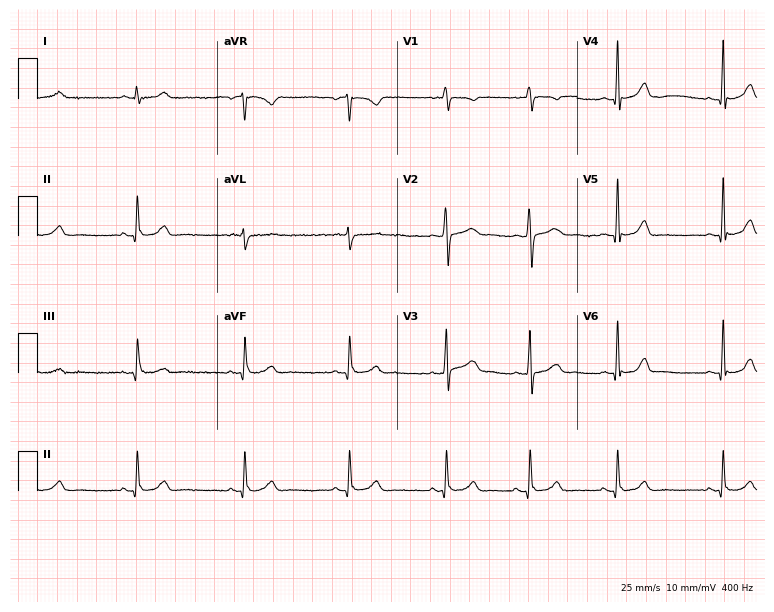
Standard 12-lead ECG recorded from a 25-year-old female (7.3-second recording at 400 Hz). Read as a normal ECG.